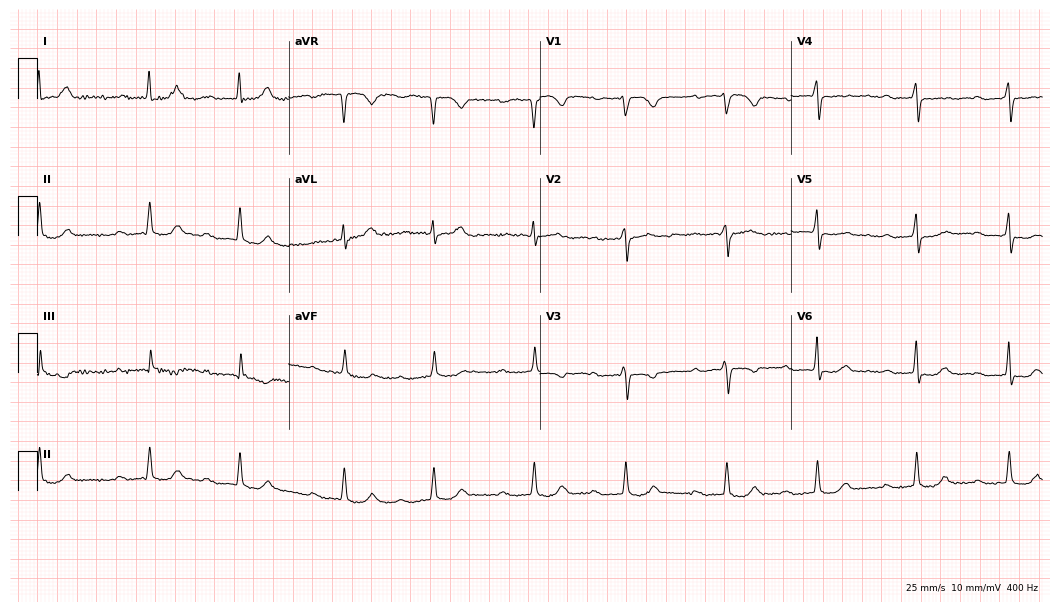
Standard 12-lead ECG recorded from a 73-year-old female patient. None of these six findings is recorded: first-degree AV block, right bundle branch block, left bundle branch block, sinus bradycardia, atrial fibrillation, sinus tachycardia.